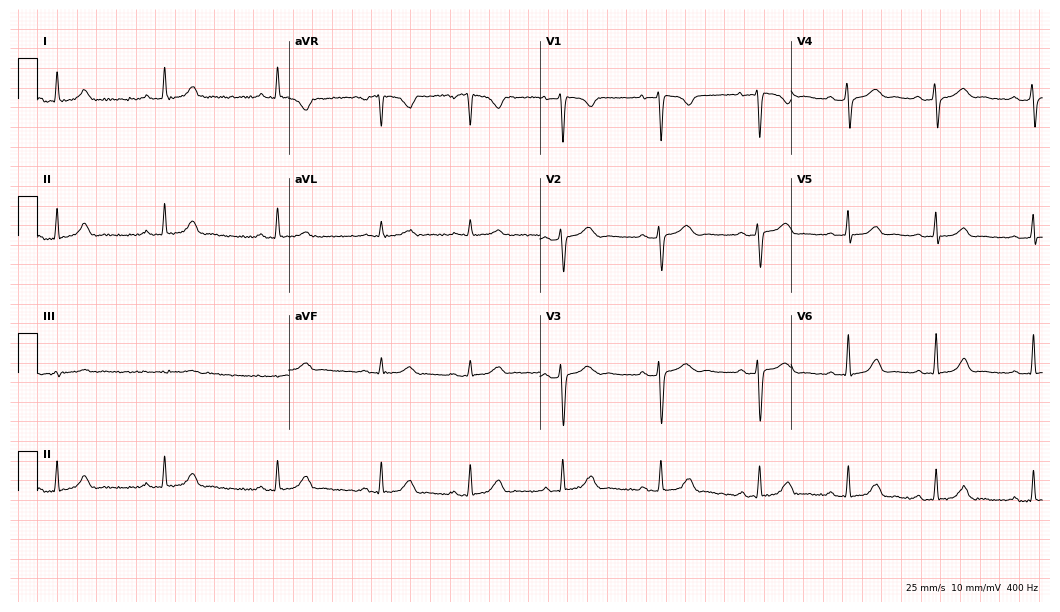
Resting 12-lead electrocardiogram. Patient: a 38-year-old female. Read as a normal ECG.